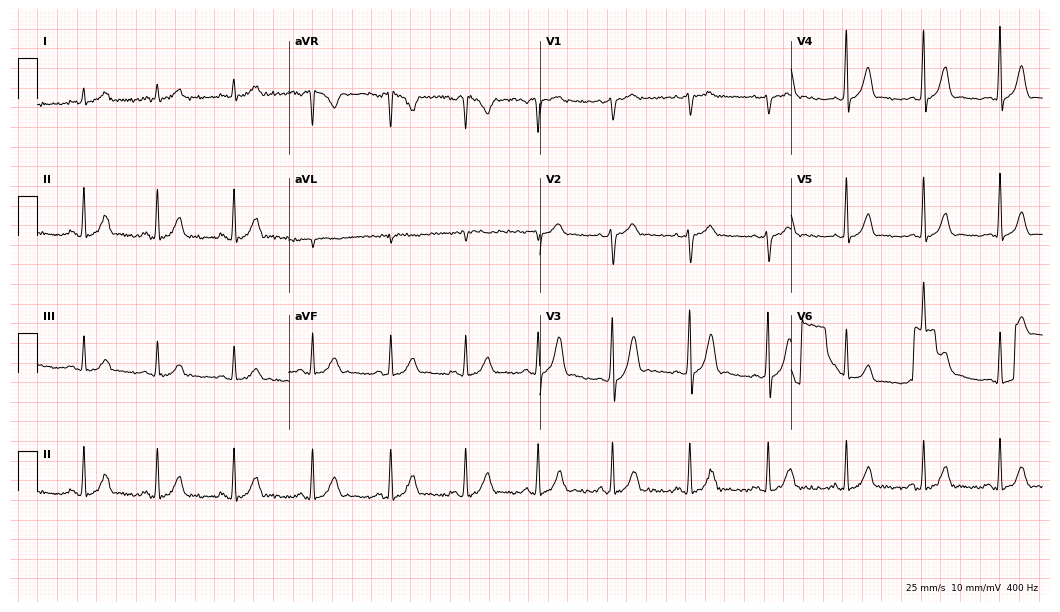
ECG — a 28-year-old man. Labelled as a normal ECG.